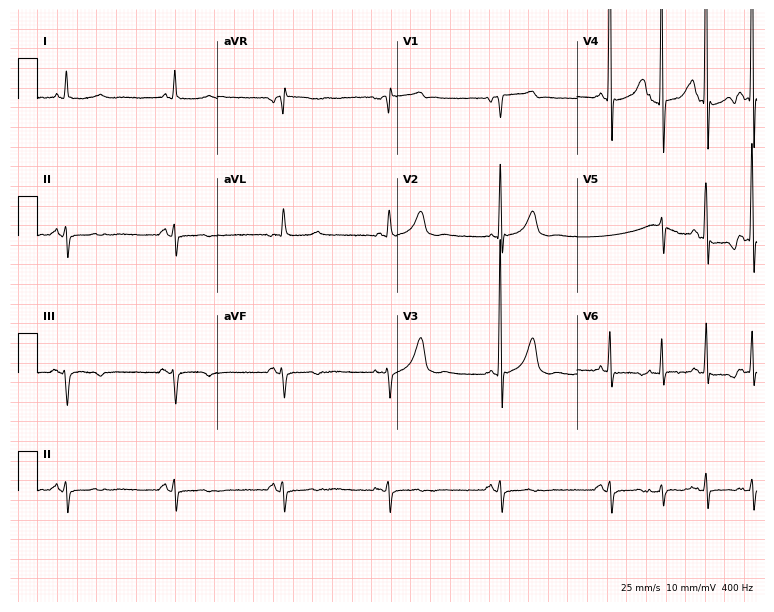
ECG — an 82-year-old man. Screened for six findings — first-degree AV block, right bundle branch block (RBBB), left bundle branch block (LBBB), sinus bradycardia, atrial fibrillation (AF), sinus tachycardia — none is recorded. Other findings, if any, are not listed.